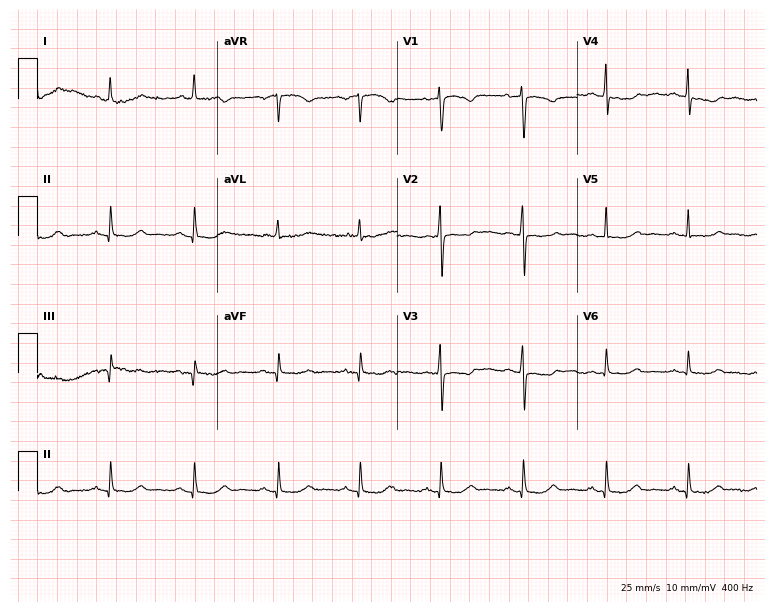
Electrocardiogram, a female patient, 79 years old. Of the six screened findings (first-degree AV block, right bundle branch block (RBBB), left bundle branch block (LBBB), sinus bradycardia, atrial fibrillation (AF), sinus tachycardia), none is recorded.